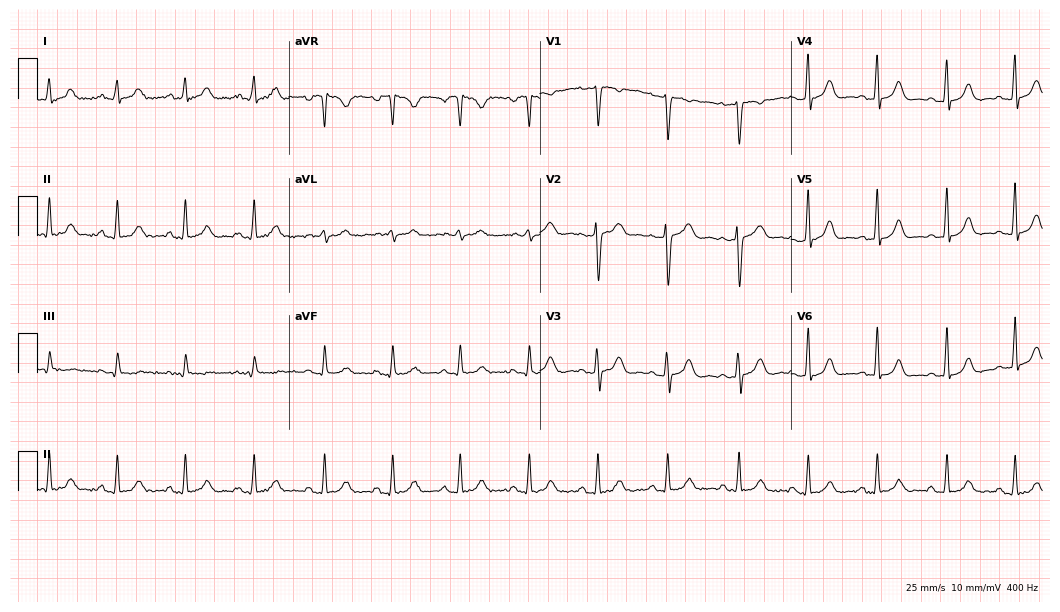
12-lead ECG from a woman, 25 years old. Recorded interpretation: within normal limits.